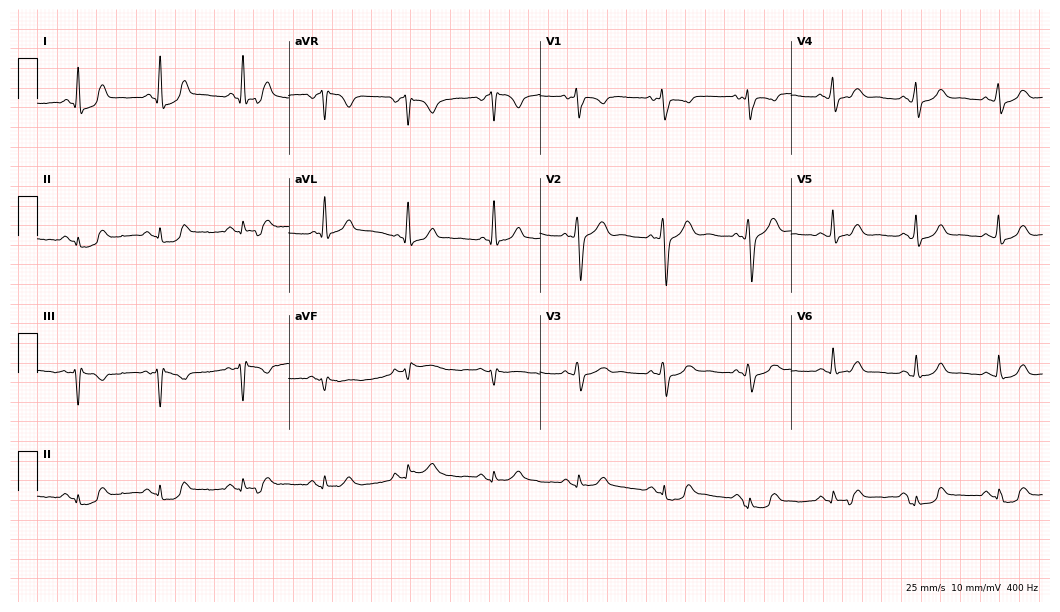
12-lead ECG from a 41-year-old male patient (10.2-second recording at 400 Hz). No first-degree AV block, right bundle branch block, left bundle branch block, sinus bradycardia, atrial fibrillation or sinus tachycardia recorded for this tracing.